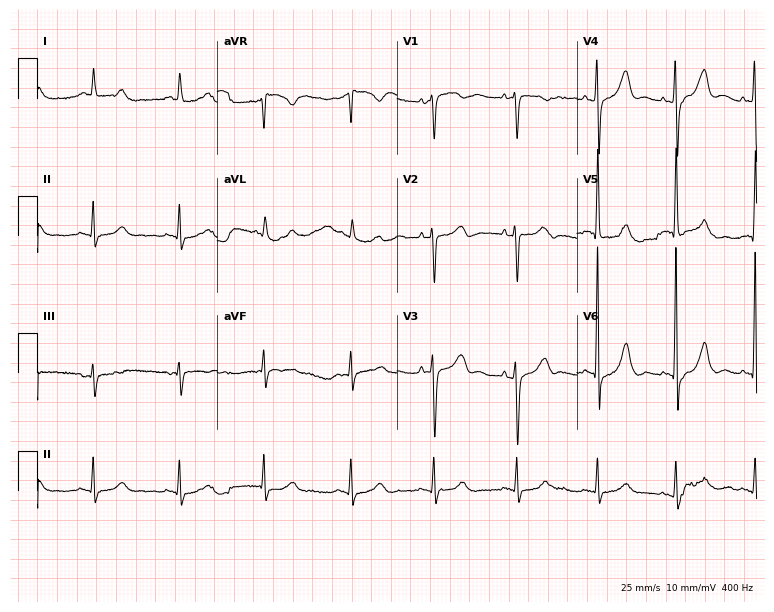
ECG — a female patient, 83 years old. Screened for six findings — first-degree AV block, right bundle branch block, left bundle branch block, sinus bradycardia, atrial fibrillation, sinus tachycardia — none is recorded.